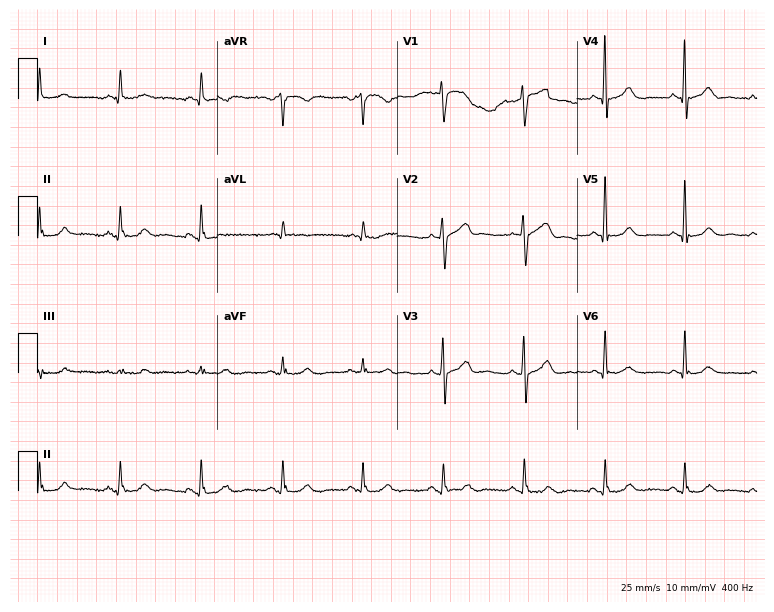
Standard 12-lead ECG recorded from a male patient, 76 years old (7.3-second recording at 400 Hz). Read as a normal ECG.